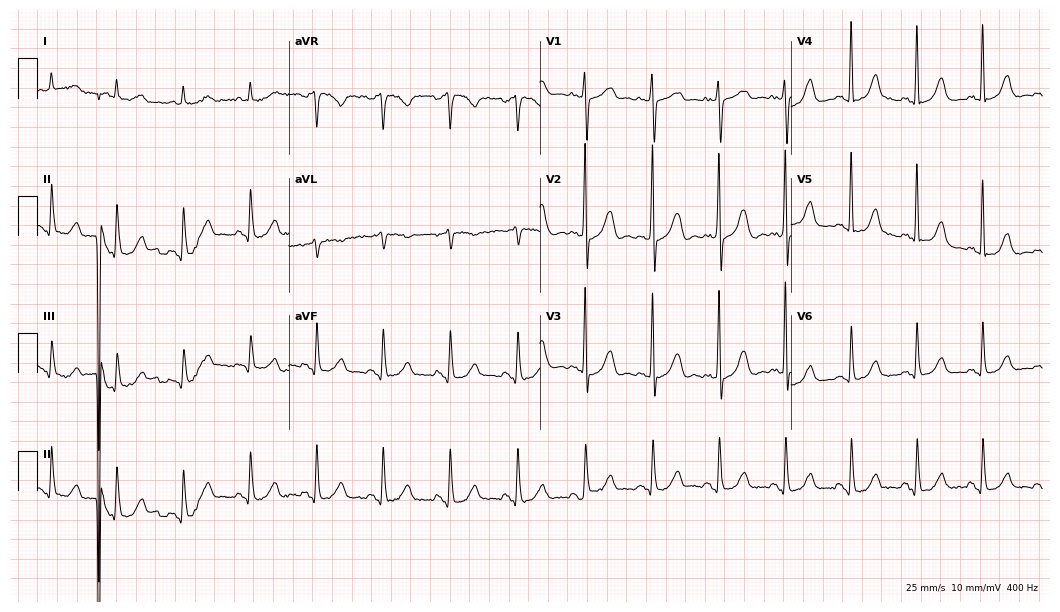
Standard 12-lead ECG recorded from a 77-year-old female. Read as a normal ECG.